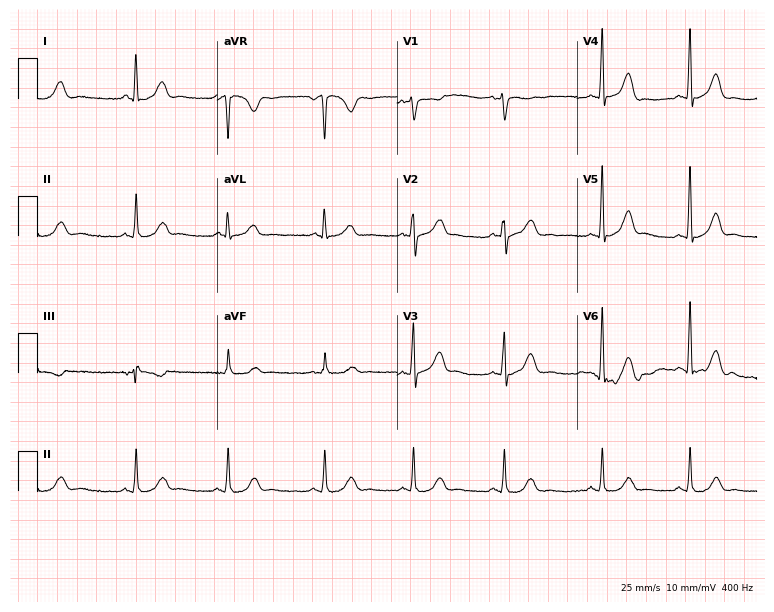
12-lead ECG from a 43-year-old female patient. Labelled as a normal ECG.